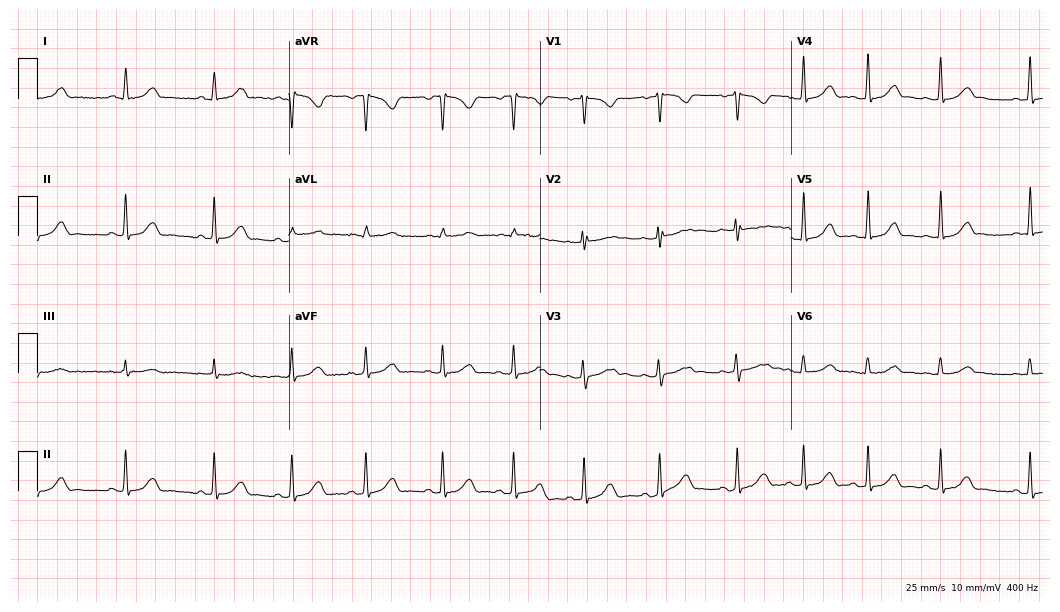
Electrocardiogram, a 17-year-old woman. Overall reading on record: normal ECG.